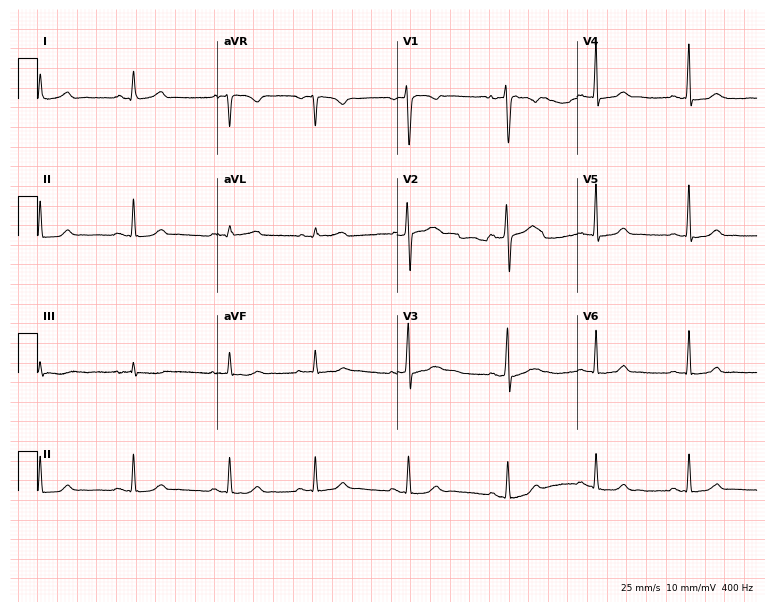
12-lead ECG (7.3-second recording at 400 Hz) from a 23-year-old female patient. Labelled as a normal ECG.